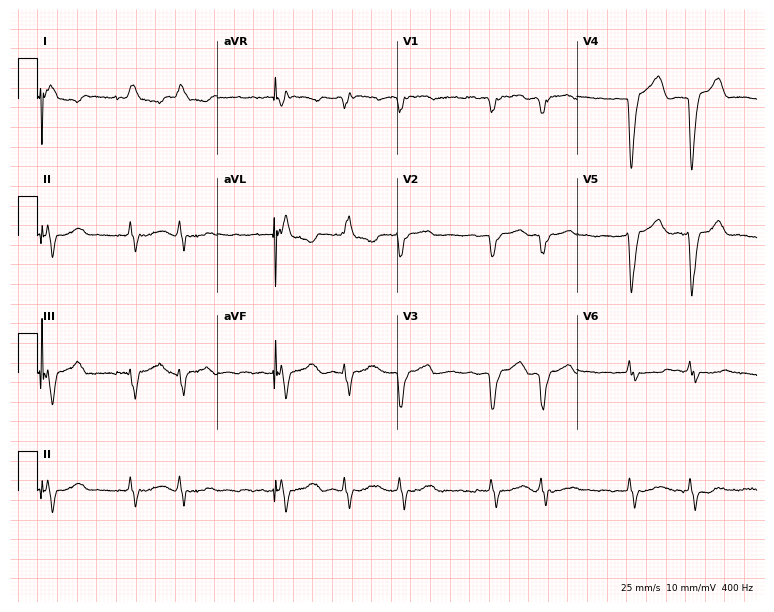
Standard 12-lead ECG recorded from a woman, 79 years old (7.3-second recording at 400 Hz). None of these six findings is recorded: first-degree AV block, right bundle branch block, left bundle branch block, sinus bradycardia, atrial fibrillation, sinus tachycardia.